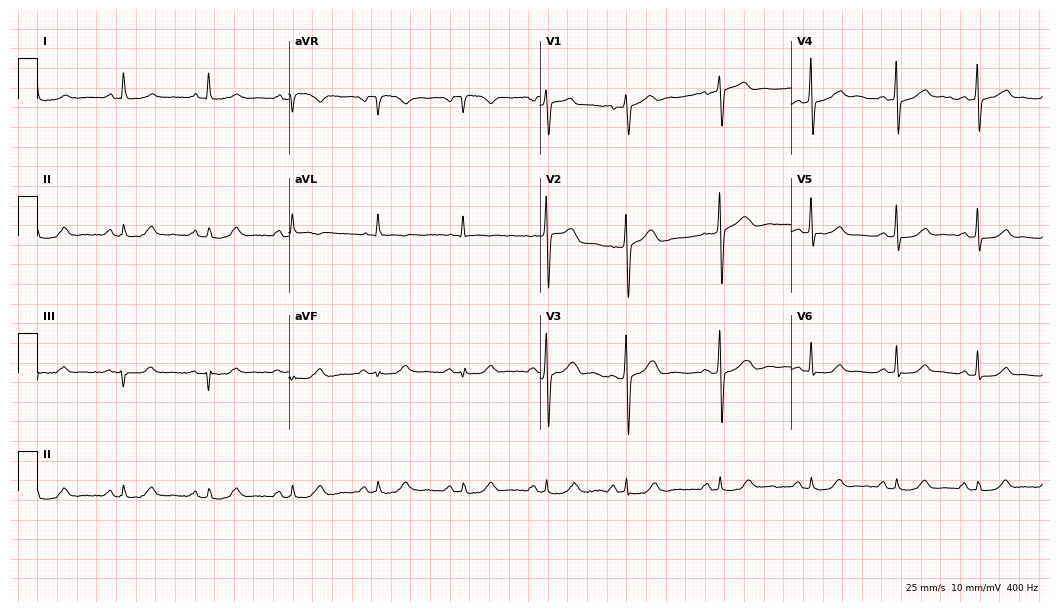
12-lead ECG from a male, 63 years old (10.2-second recording at 400 Hz). Recorded interpretation: within normal limits.